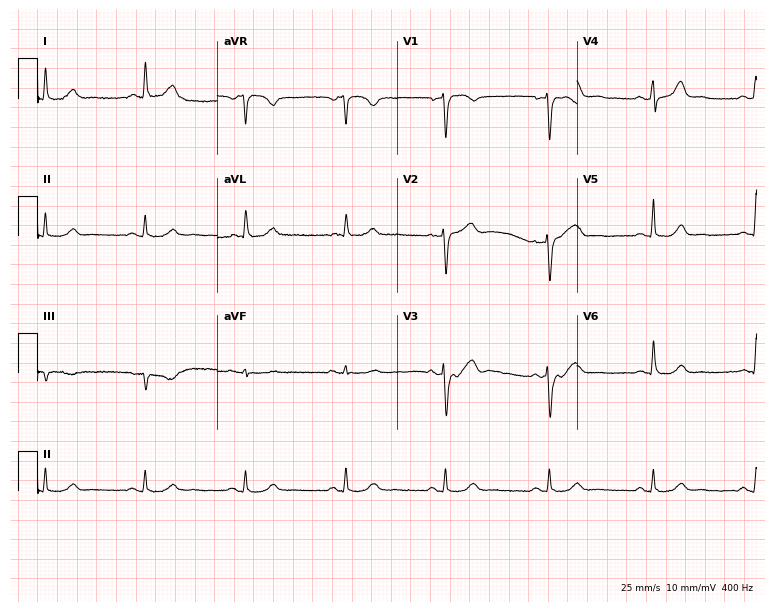
ECG (7.3-second recording at 400 Hz) — a male, 62 years old. Labelled as a normal ECG.